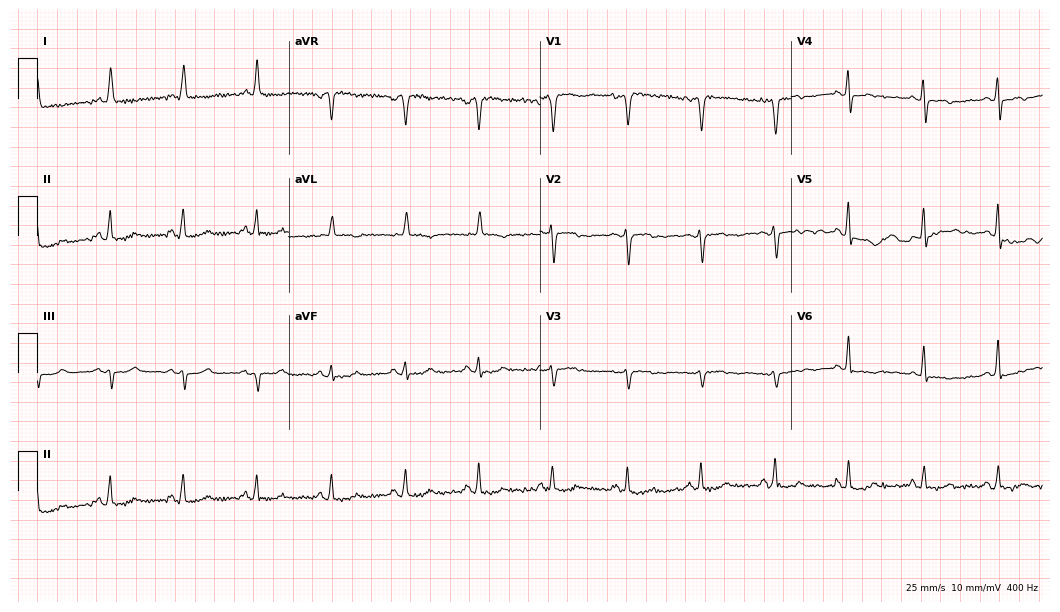
12-lead ECG (10.2-second recording at 400 Hz) from a woman, 73 years old. Screened for six findings — first-degree AV block, right bundle branch block, left bundle branch block, sinus bradycardia, atrial fibrillation, sinus tachycardia — none is recorded.